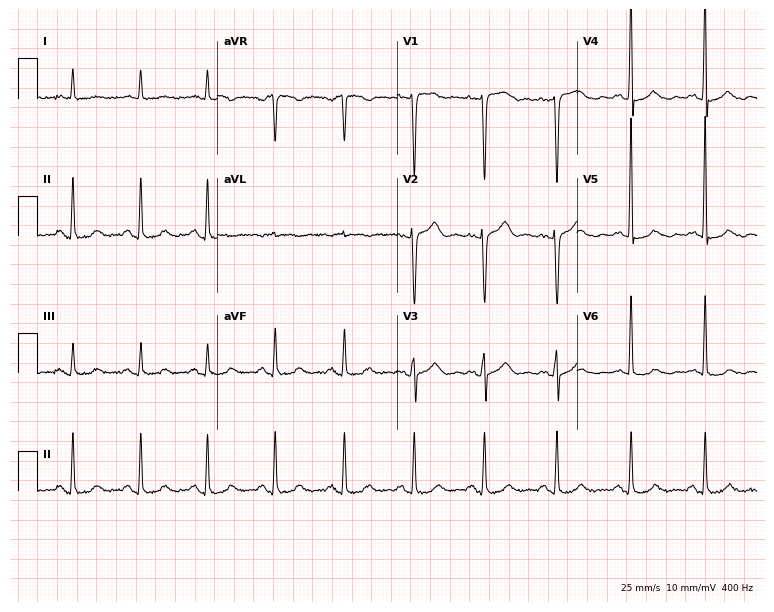
ECG — a male patient, 73 years old. Screened for six findings — first-degree AV block, right bundle branch block (RBBB), left bundle branch block (LBBB), sinus bradycardia, atrial fibrillation (AF), sinus tachycardia — none is recorded.